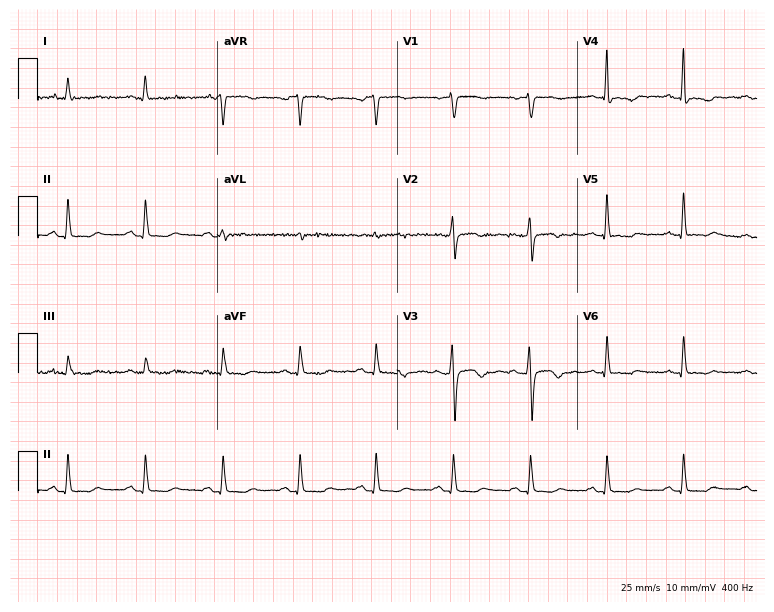
Standard 12-lead ECG recorded from a female patient, 52 years old. None of these six findings is recorded: first-degree AV block, right bundle branch block, left bundle branch block, sinus bradycardia, atrial fibrillation, sinus tachycardia.